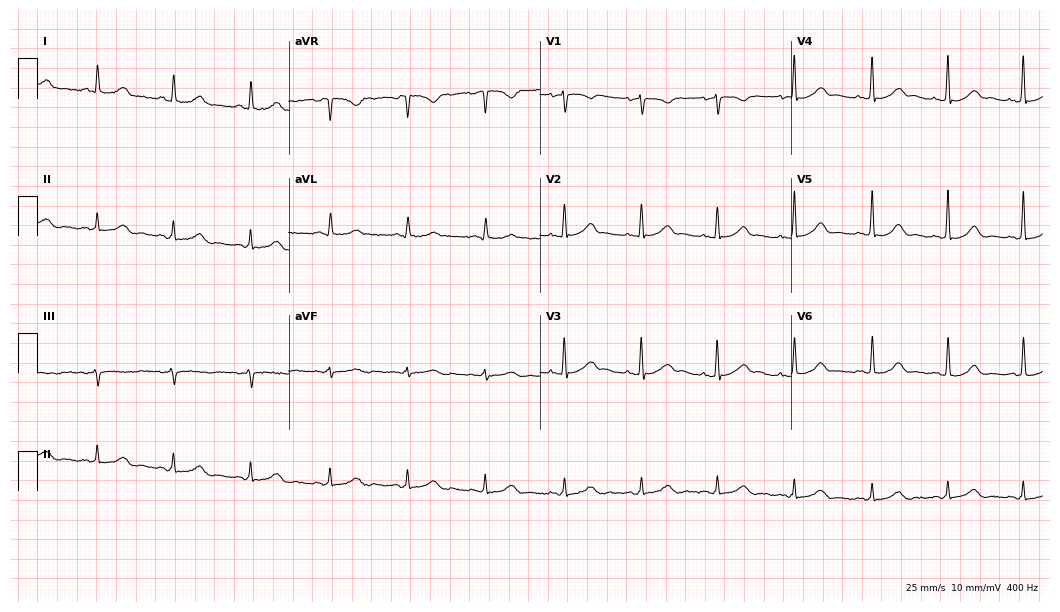
Standard 12-lead ECG recorded from a woman, 60 years old. Read as a normal ECG.